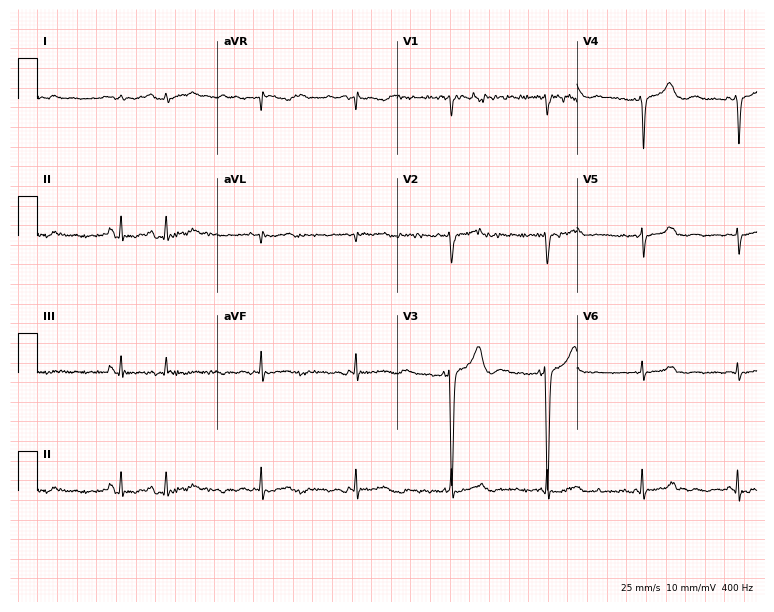
12-lead ECG from a 77-year-old man (7.3-second recording at 400 Hz). No first-degree AV block, right bundle branch block, left bundle branch block, sinus bradycardia, atrial fibrillation or sinus tachycardia recorded for this tracing.